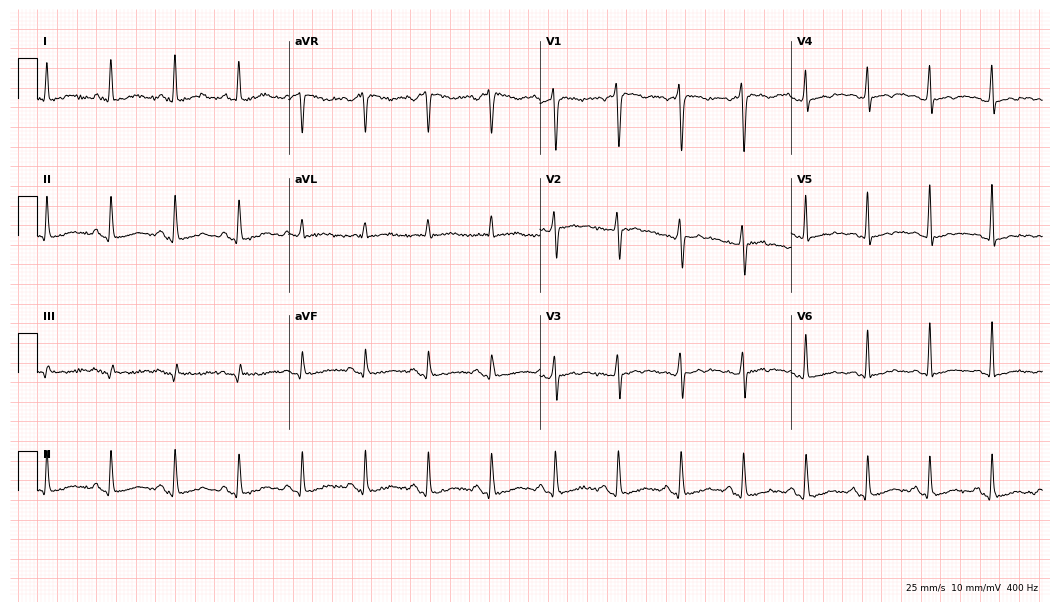
12-lead ECG from a female patient, 45 years old. No first-degree AV block, right bundle branch block, left bundle branch block, sinus bradycardia, atrial fibrillation or sinus tachycardia recorded for this tracing. Findings outside these six are not listed.